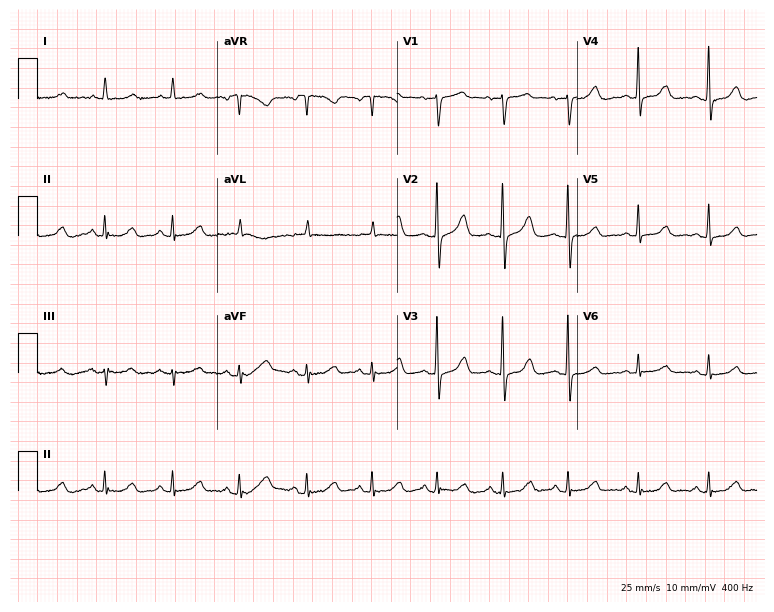
ECG — a female patient, 76 years old. Labelled as a normal ECG.